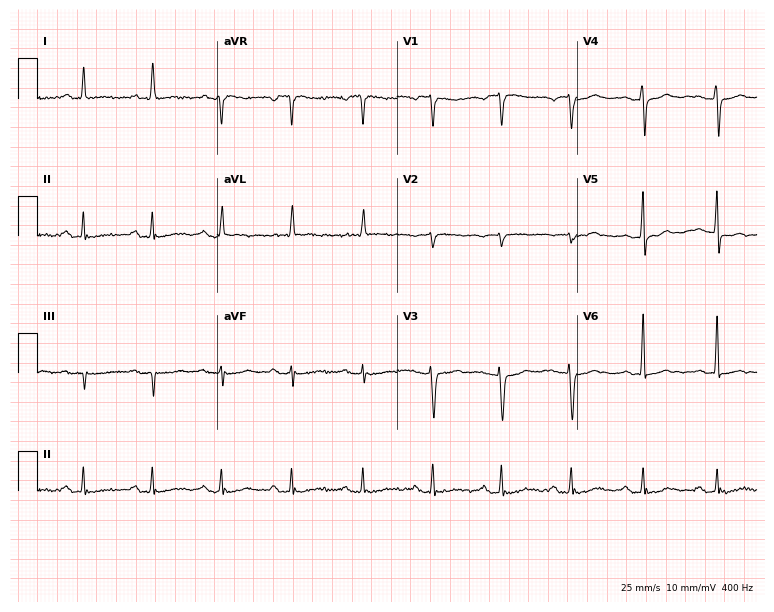
ECG (7.3-second recording at 400 Hz) — a female patient, 75 years old. Labelled as a normal ECG.